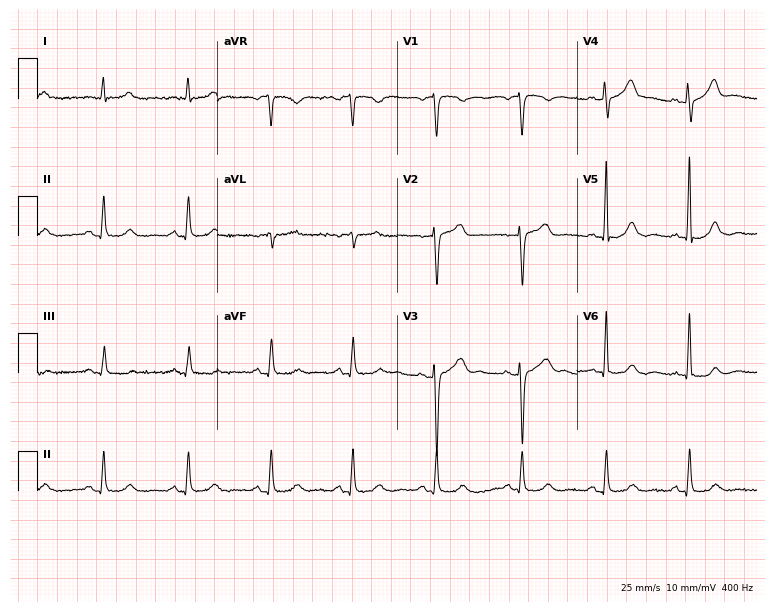
Standard 12-lead ECG recorded from a man, 75 years old. Read as a normal ECG.